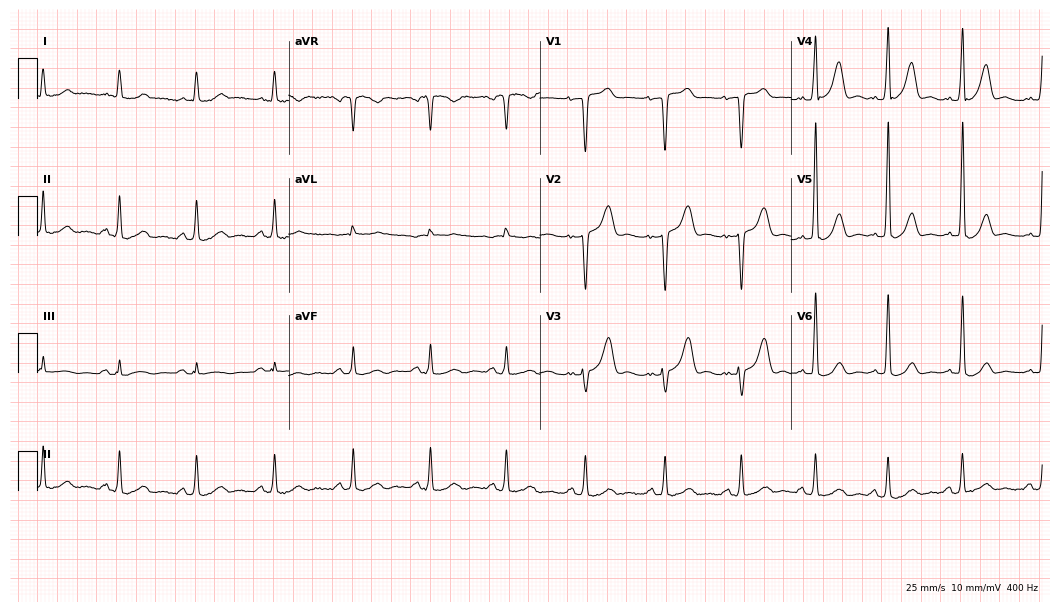
Electrocardiogram, a man, 66 years old. Of the six screened findings (first-degree AV block, right bundle branch block, left bundle branch block, sinus bradycardia, atrial fibrillation, sinus tachycardia), none is recorded.